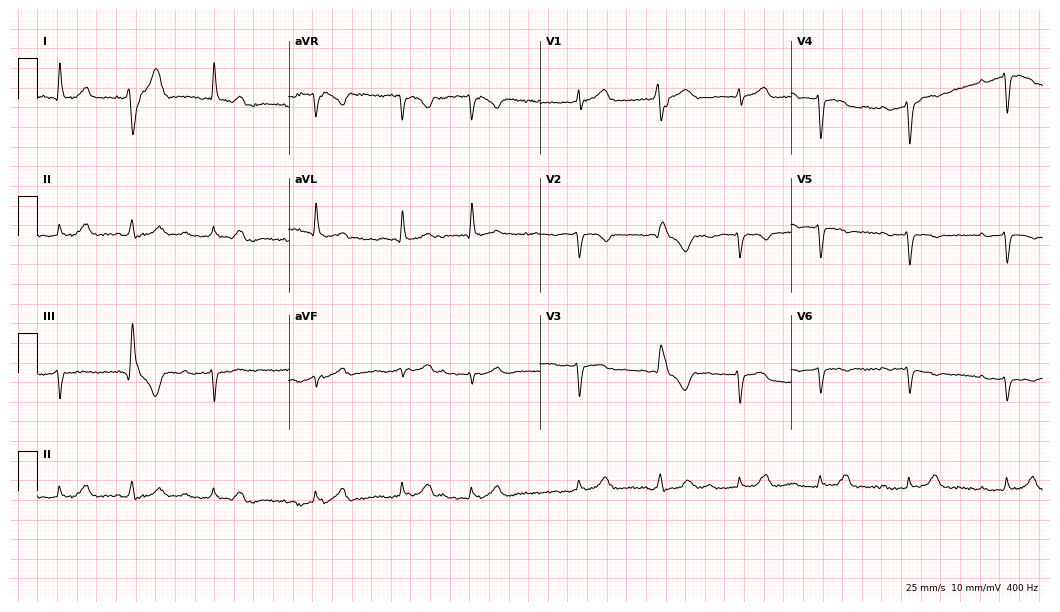
Electrocardiogram, a male patient, 76 years old. Of the six screened findings (first-degree AV block, right bundle branch block (RBBB), left bundle branch block (LBBB), sinus bradycardia, atrial fibrillation (AF), sinus tachycardia), none is recorded.